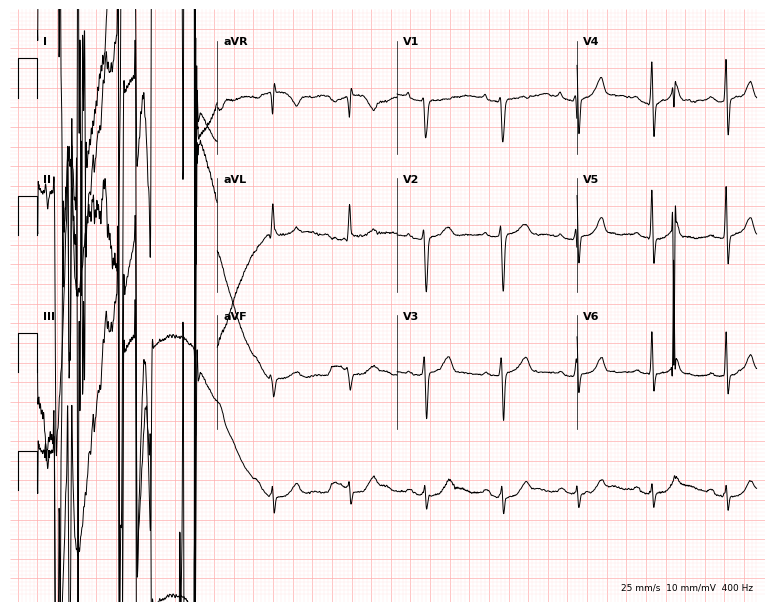
ECG (7.3-second recording at 400 Hz) — a woman, 79 years old. Screened for six findings — first-degree AV block, right bundle branch block, left bundle branch block, sinus bradycardia, atrial fibrillation, sinus tachycardia — none is recorded.